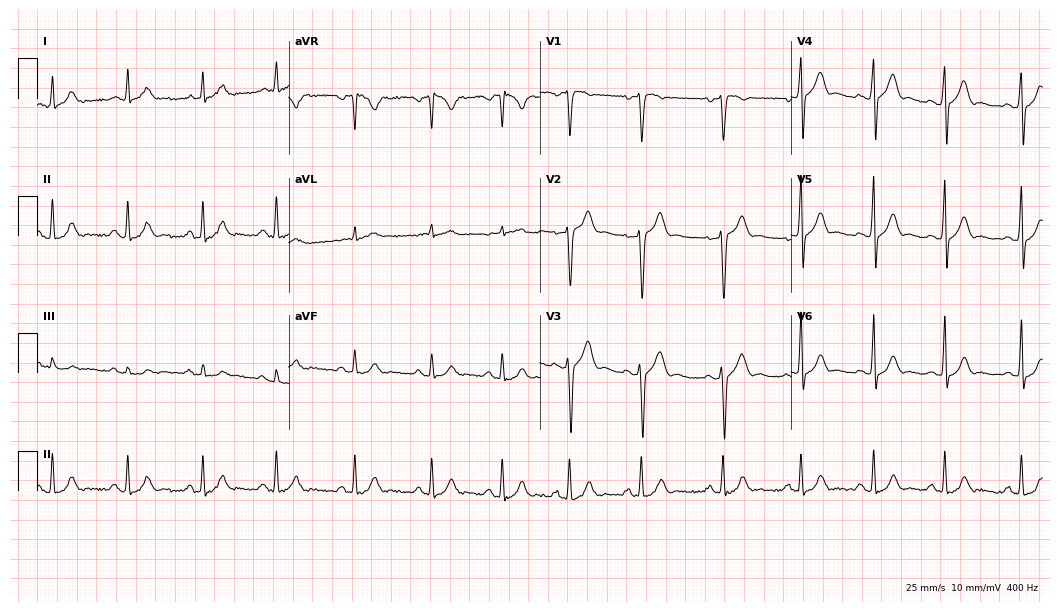
Resting 12-lead electrocardiogram. Patient: a man, 22 years old. None of these six findings is recorded: first-degree AV block, right bundle branch block, left bundle branch block, sinus bradycardia, atrial fibrillation, sinus tachycardia.